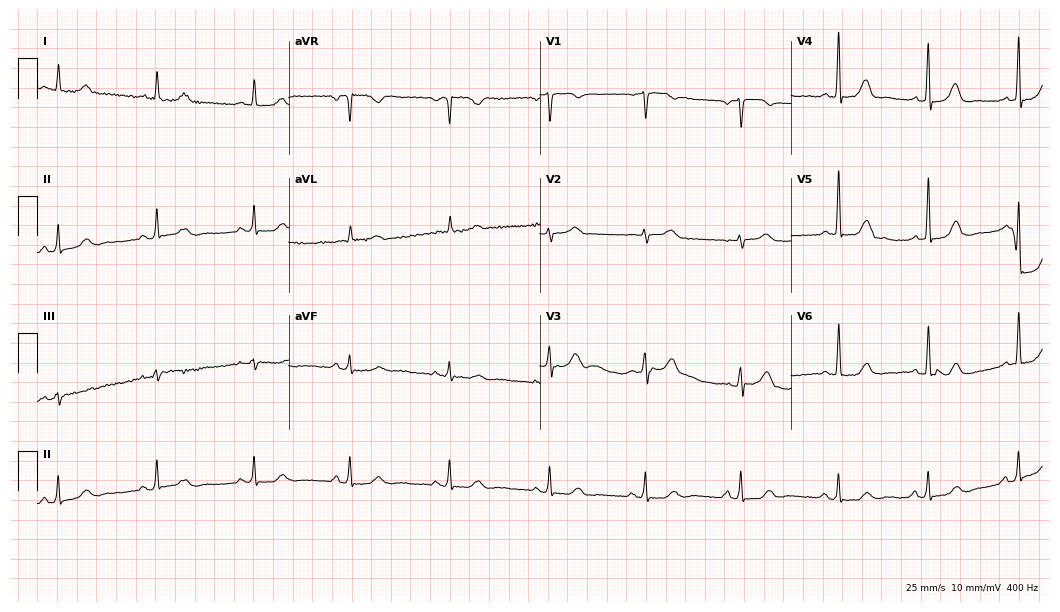
12-lead ECG from a female, 68 years old. Labelled as a normal ECG.